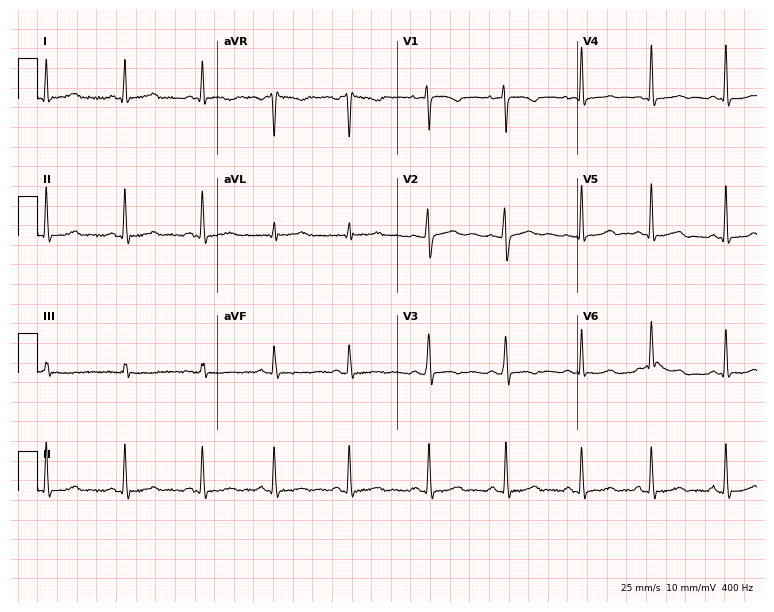
Standard 12-lead ECG recorded from a female patient, 27 years old. None of these six findings is recorded: first-degree AV block, right bundle branch block, left bundle branch block, sinus bradycardia, atrial fibrillation, sinus tachycardia.